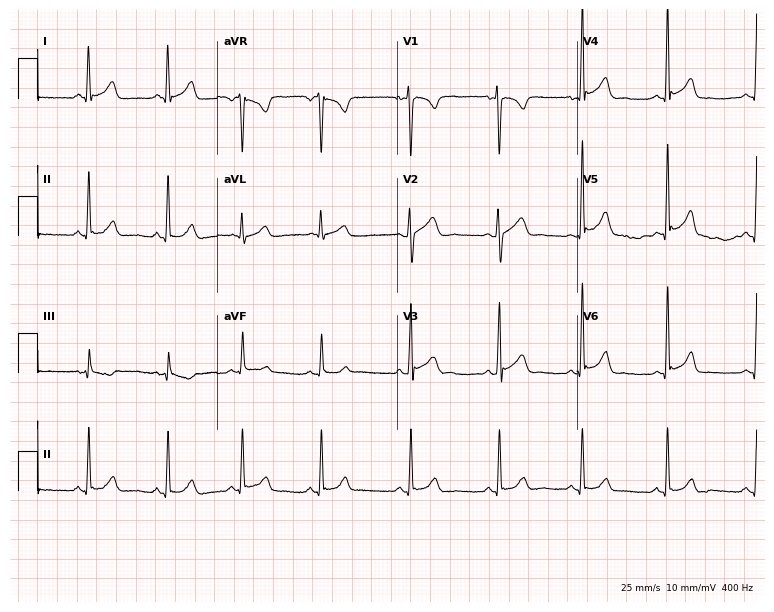
Standard 12-lead ECG recorded from a 23-year-old man. None of these six findings is recorded: first-degree AV block, right bundle branch block, left bundle branch block, sinus bradycardia, atrial fibrillation, sinus tachycardia.